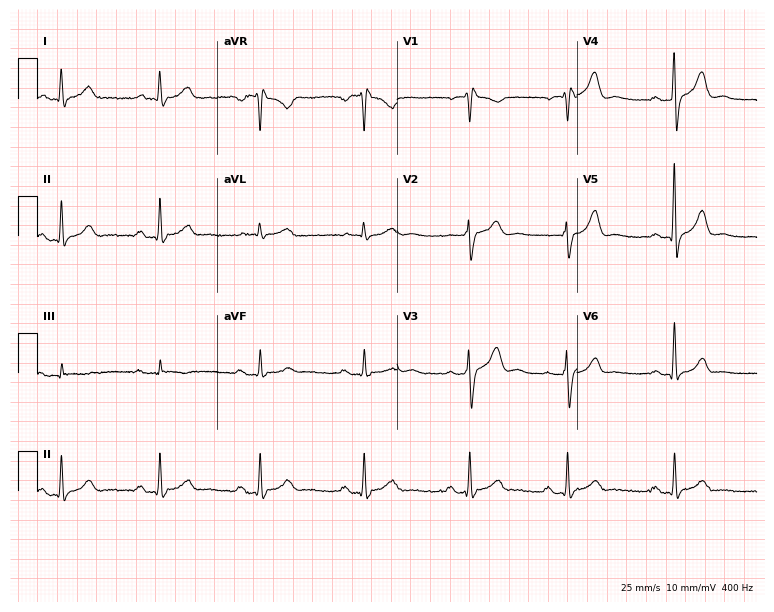
Standard 12-lead ECG recorded from a male patient, 48 years old (7.3-second recording at 400 Hz). The tracing shows first-degree AV block.